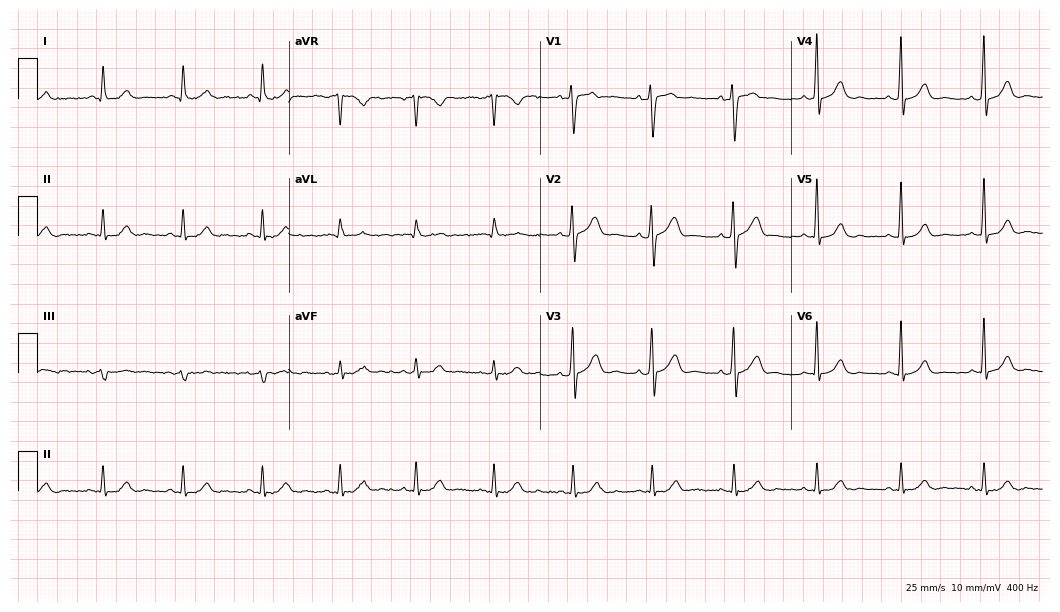
Standard 12-lead ECG recorded from a 63-year-old man (10.2-second recording at 400 Hz). None of these six findings is recorded: first-degree AV block, right bundle branch block, left bundle branch block, sinus bradycardia, atrial fibrillation, sinus tachycardia. Other findings, if any, are not listed.